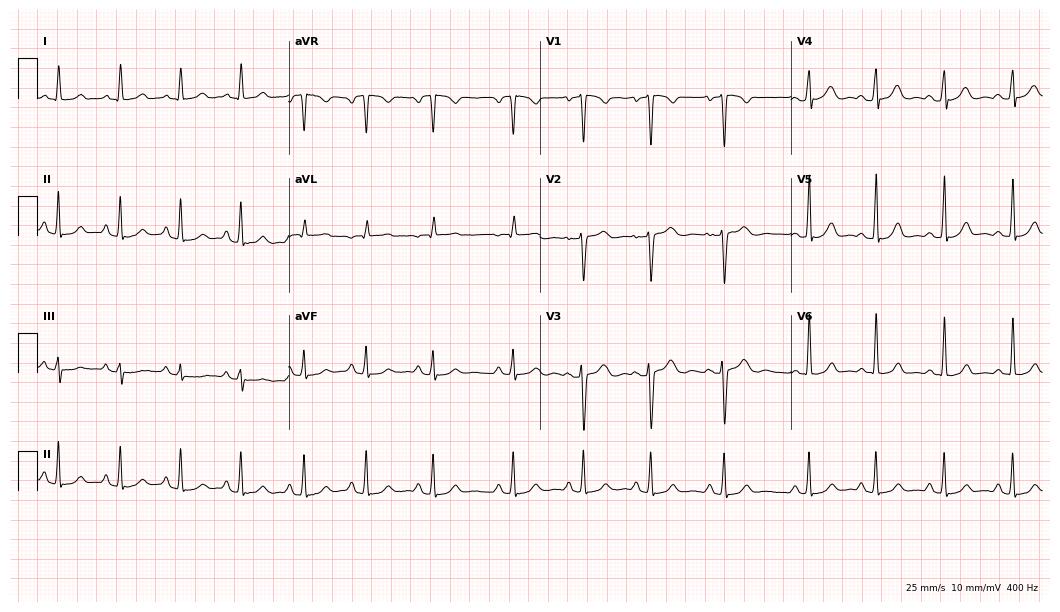
ECG — a 21-year-old woman. Labelled as a normal ECG.